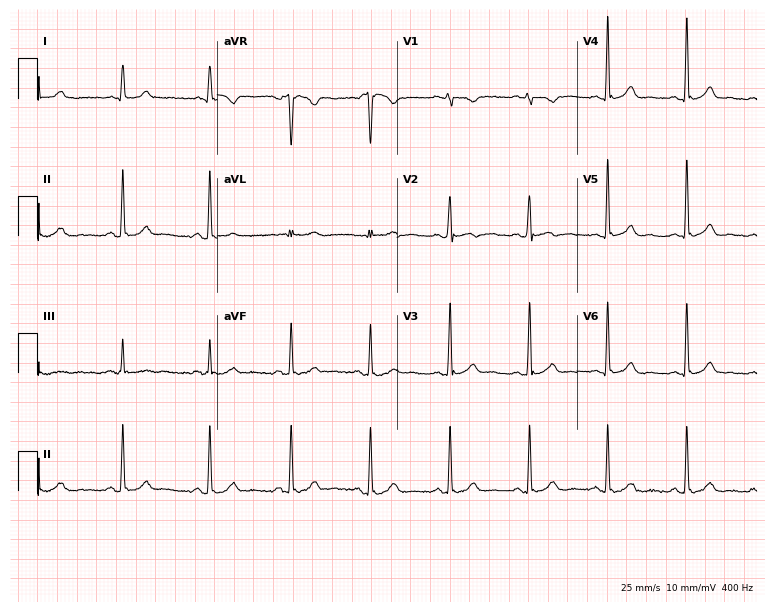
Standard 12-lead ECG recorded from a woman, 24 years old. Read as a normal ECG.